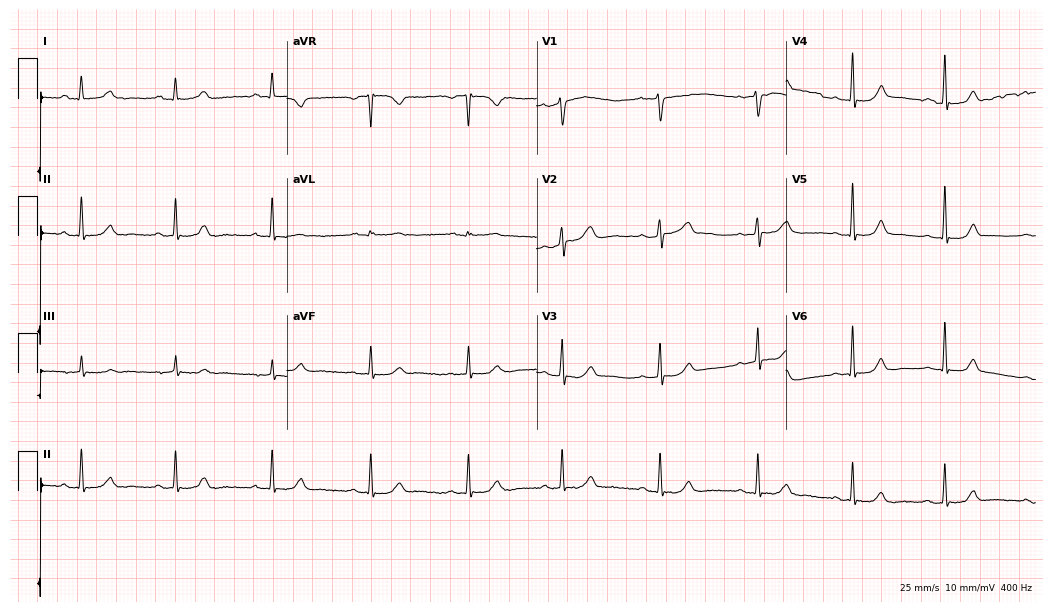
Electrocardiogram (10.2-second recording at 400 Hz), a 50-year-old female patient. Overall reading on record: normal ECG.